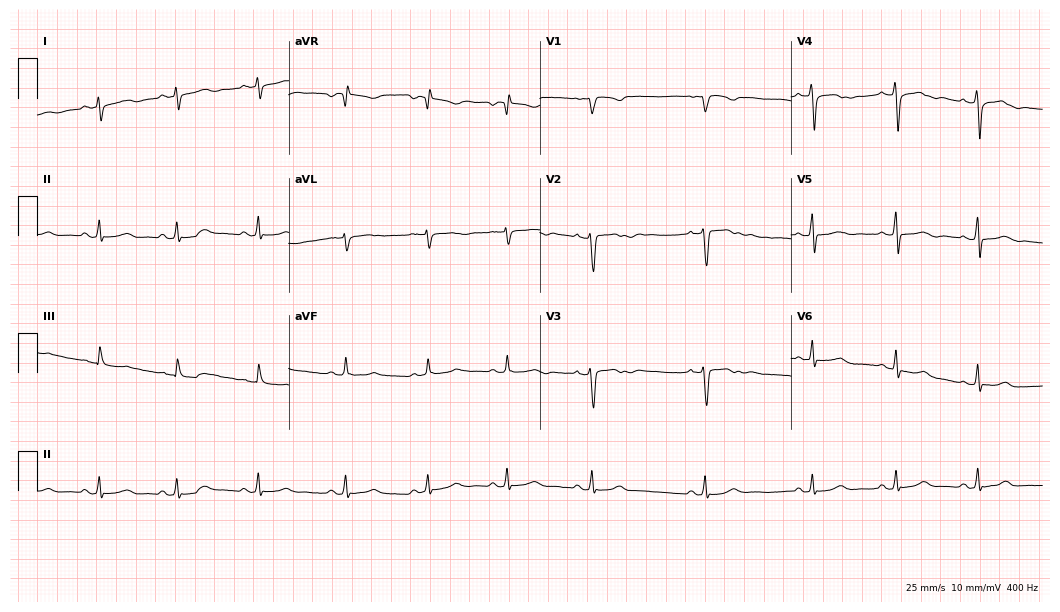
Standard 12-lead ECG recorded from a female patient, 20 years old (10.2-second recording at 400 Hz). Read as a normal ECG.